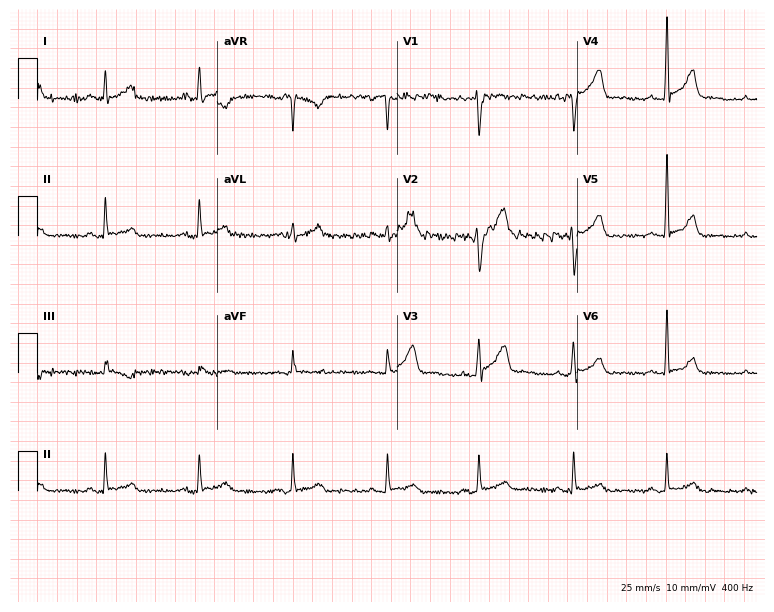
Electrocardiogram, a 40-year-old male. Of the six screened findings (first-degree AV block, right bundle branch block (RBBB), left bundle branch block (LBBB), sinus bradycardia, atrial fibrillation (AF), sinus tachycardia), none is recorded. Findings outside these six are not listed.